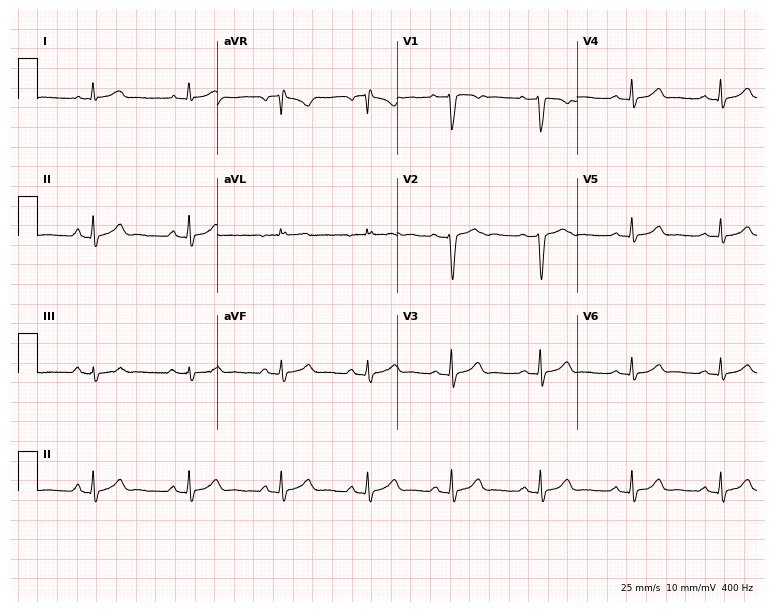
Resting 12-lead electrocardiogram. Patient: a 21-year-old female. Read as a normal ECG.